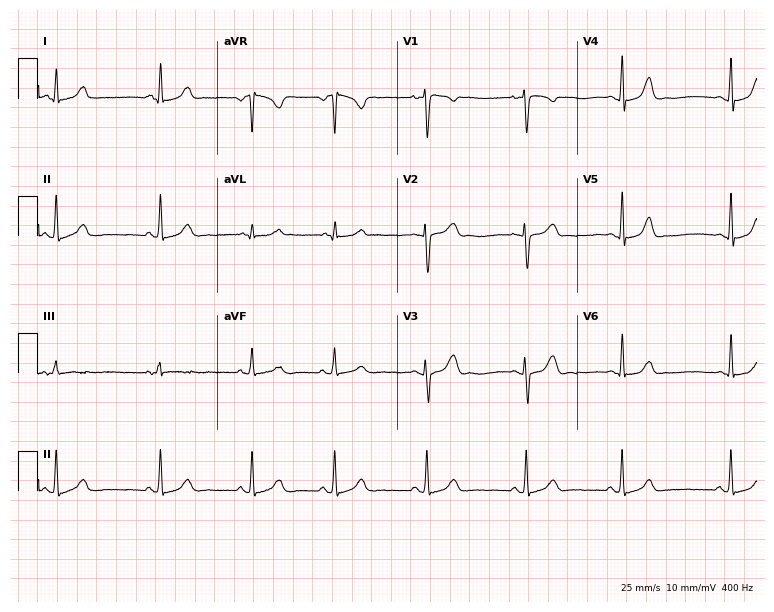
Standard 12-lead ECG recorded from a 20-year-old female patient (7.3-second recording at 400 Hz). Read as a normal ECG.